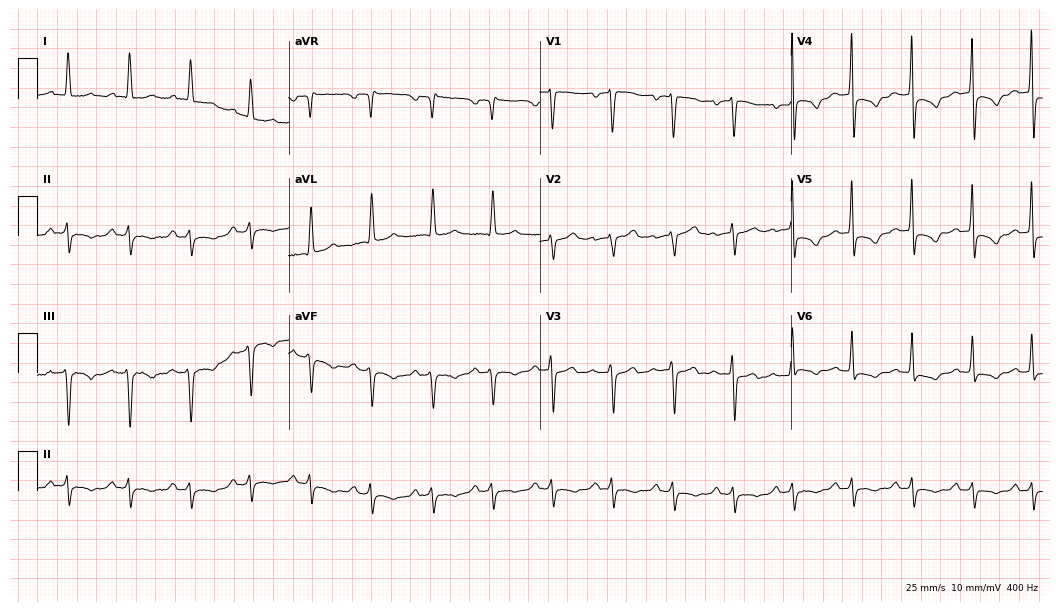
12-lead ECG from a female, 70 years old. No first-degree AV block, right bundle branch block (RBBB), left bundle branch block (LBBB), sinus bradycardia, atrial fibrillation (AF) or sinus tachycardia recorded for this tracing.